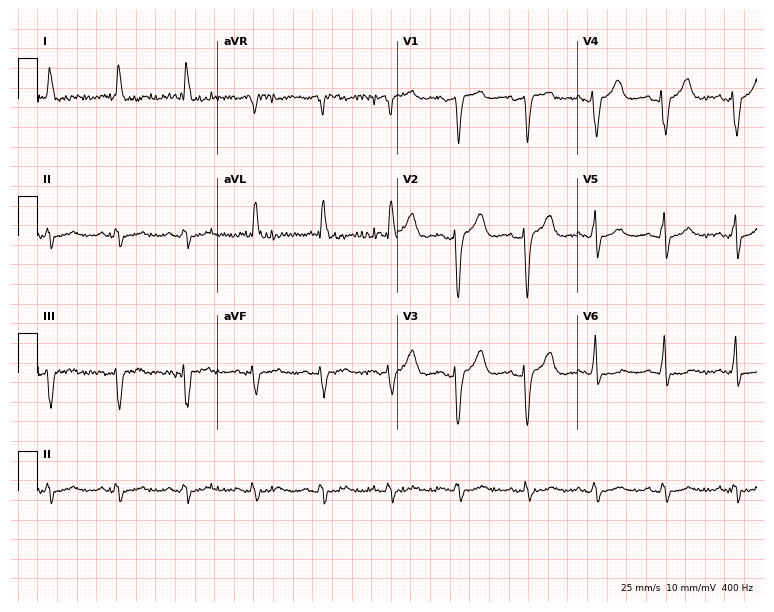
12-lead ECG from a female patient, 85 years old. Screened for six findings — first-degree AV block, right bundle branch block, left bundle branch block, sinus bradycardia, atrial fibrillation, sinus tachycardia — none is recorded.